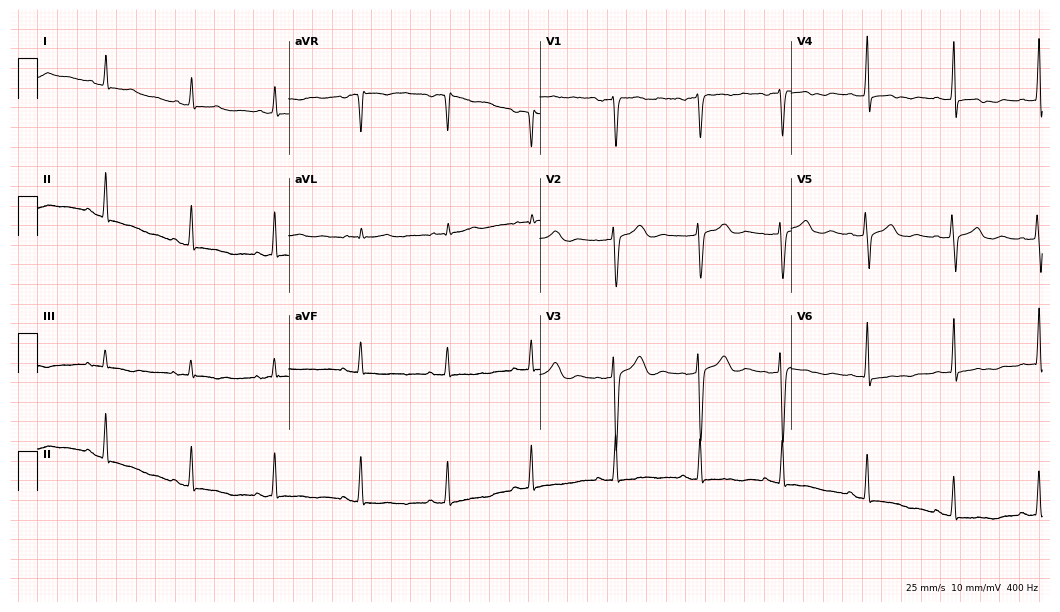
12-lead ECG from a 46-year-old woman. No first-degree AV block, right bundle branch block, left bundle branch block, sinus bradycardia, atrial fibrillation or sinus tachycardia recorded for this tracing. Only these six findings were labelled.